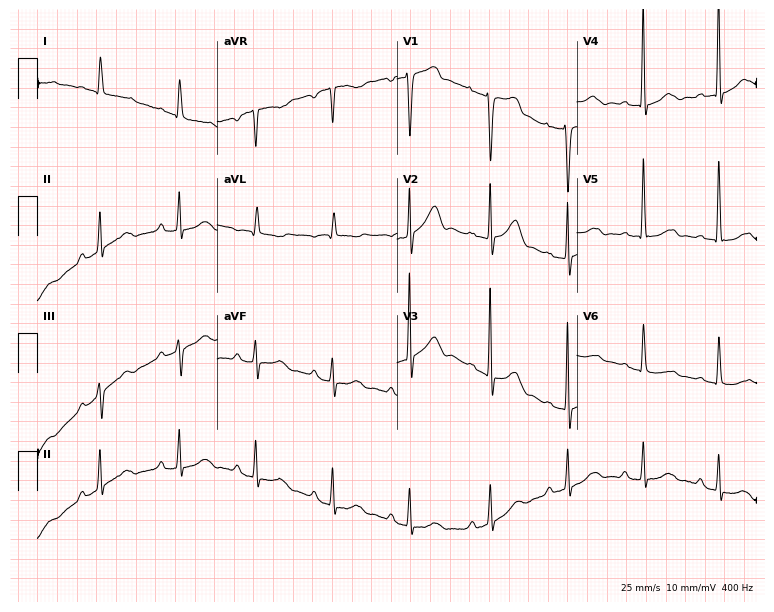
Resting 12-lead electrocardiogram (7.3-second recording at 400 Hz). Patient: an 80-year-old female. None of these six findings is recorded: first-degree AV block, right bundle branch block, left bundle branch block, sinus bradycardia, atrial fibrillation, sinus tachycardia.